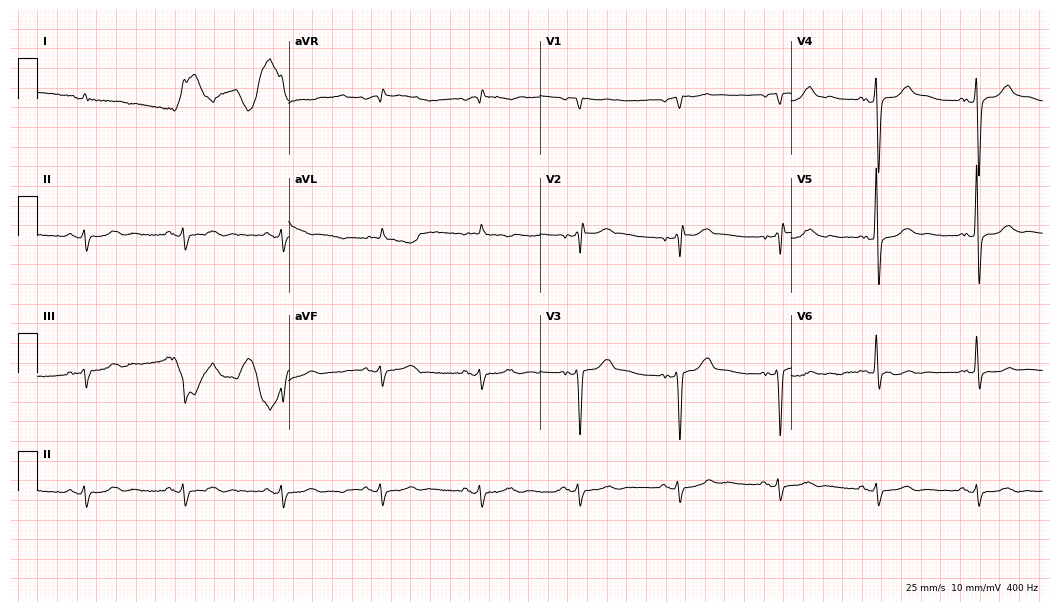
Electrocardiogram, a man, 84 years old. Of the six screened findings (first-degree AV block, right bundle branch block, left bundle branch block, sinus bradycardia, atrial fibrillation, sinus tachycardia), none is recorded. Other findings, if any, are not listed.